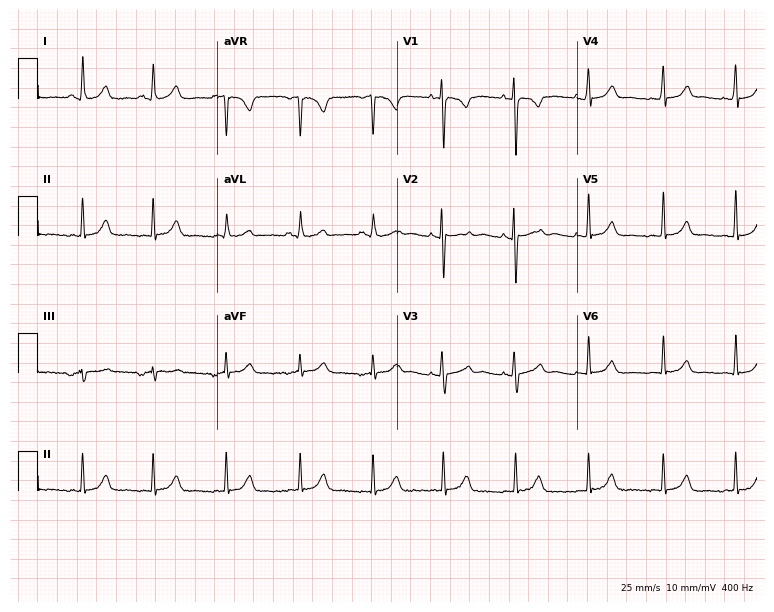
12-lead ECG from a 35-year-old female. Screened for six findings — first-degree AV block, right bundle branch block (RBBB), left bundle branch block (LBBB), sinus bradycardia, atrial fibrillation (AF), sinus tachycardia — none is recorded. Findings outside these six are not listed.